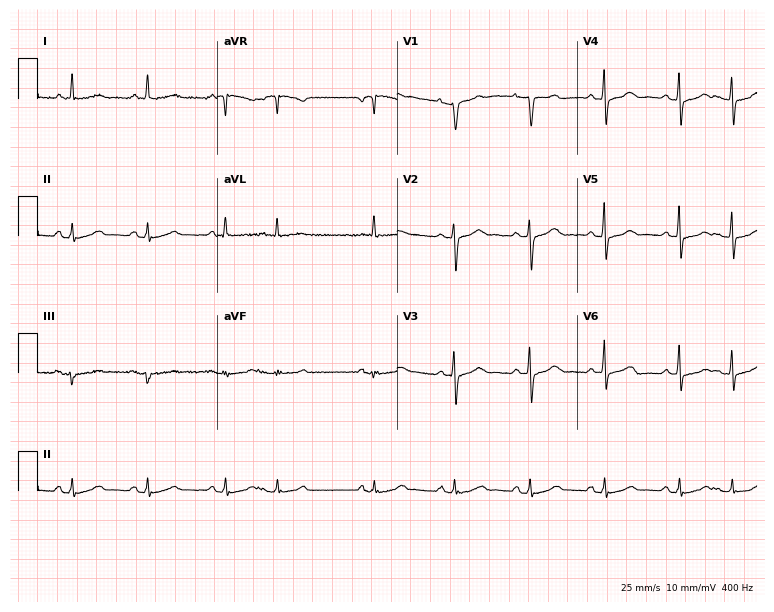
Standard 12-lead ECG recorded from a 75-year-old female (7.3-second recording at 400 Hz). None of these six findings is recorded: first-degree AV block, right bundle branch block, left bundle branch block, sinus bradycardia, atrial fibrillation, sinus tachycardia. Only these six findings were labelled.